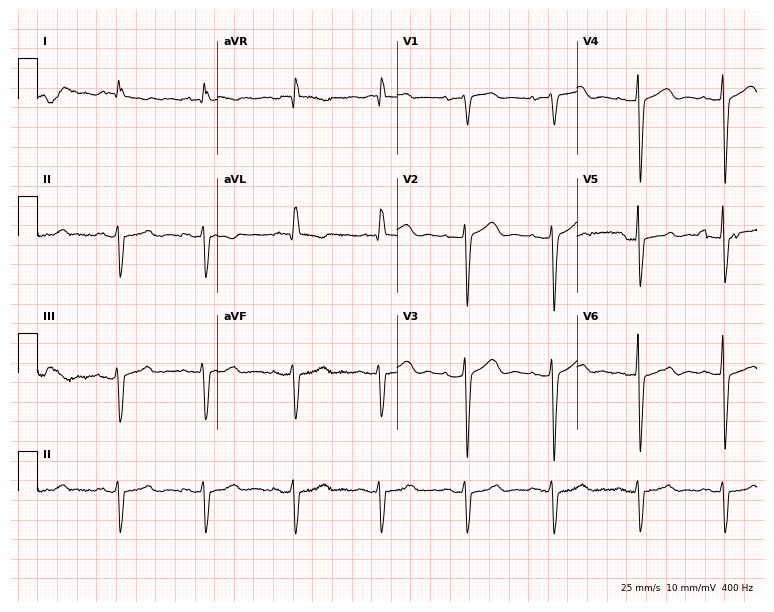
Resting 12-lead electrocardiogram (7.3-second recording at 400 Hz). Patient: a 79-year-old male. None of these six findings is recorded: first-degree AV block, right bundle branch block, left bundle branch block, sinus bradycardia, atrial fibrillation, sinus tachycardia. Findings outside these six are not listed.